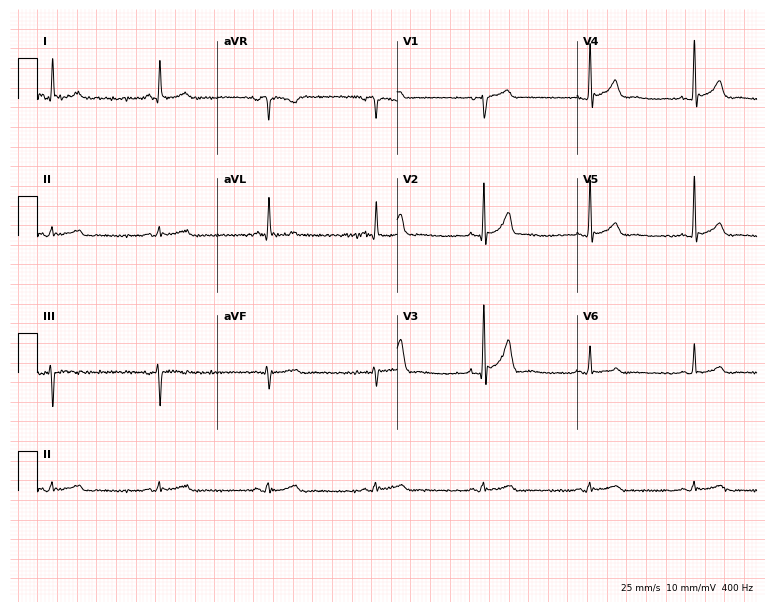
Standard 12-lead ECG recorded from a 66-year-old male (7.3-second recording at 400 Hz). Read as a normal ECG.